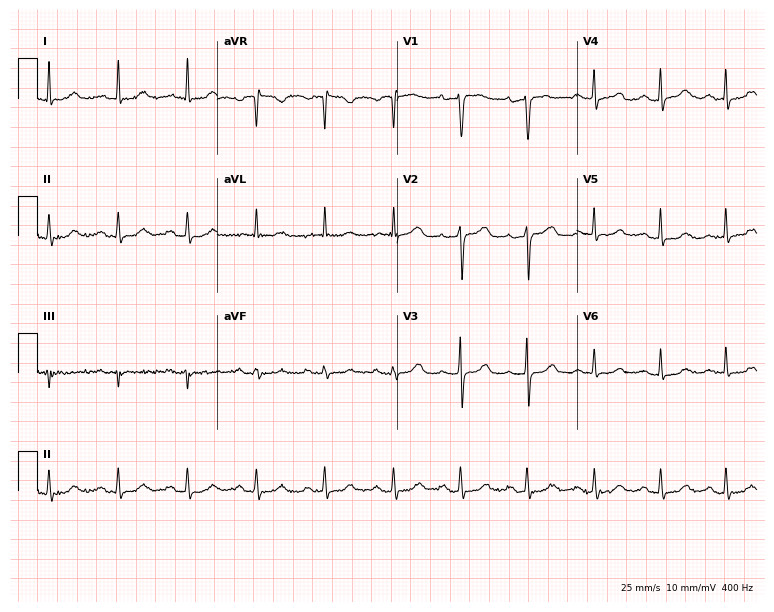
Resting 12-lead electrocardiogram (7.3-second recording at 400 Hz). Patient: a 72-year-old female. Read as a normal ECG.